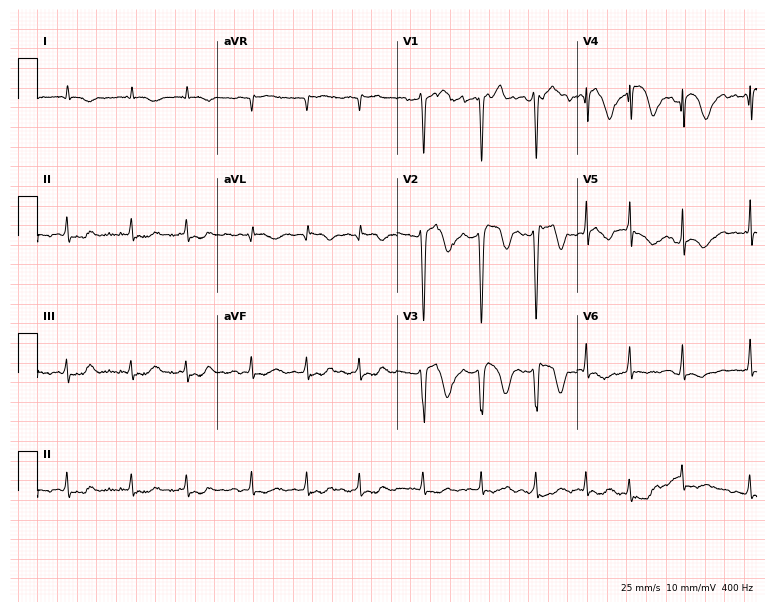
Standard 12-lead ECG recorded from a male, 69 years old (7.3-second recording at 400 Hz). None of these six findings is recorded: first-degree AV block, right bundle branch block, left bundle branch block, sinus bradycardia, atrial fibrillation, sinus tachycardia. Findings outside these six are not listed.